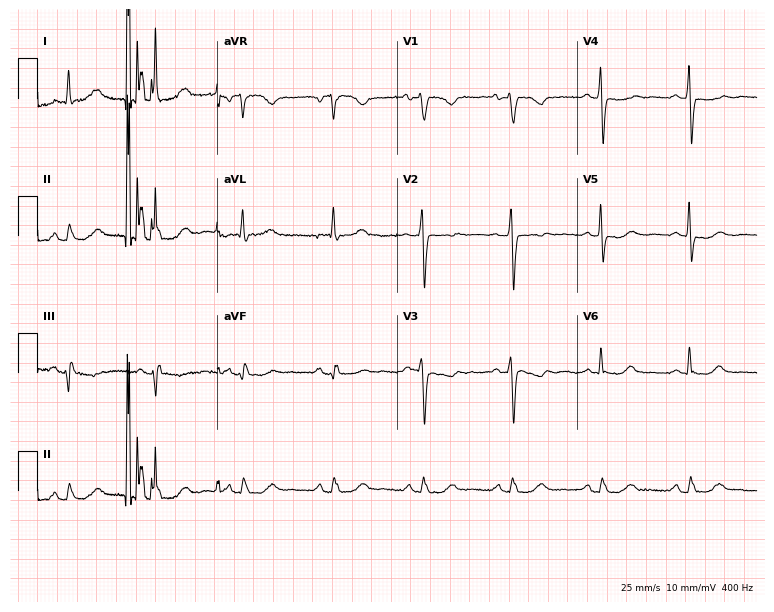
Resting 12-lead electrocardiogram (7.3-second recording at 400 Hz). Patient: a female, 57 years old. None of these six findings is recorded: first-degree AV block, right bundle branch block (RBBB), left bundle branch block (LBBB), sinus bradycardia, atrial fibrillation (AF), sinus tachycardia. Other findings, if any, are not listed.